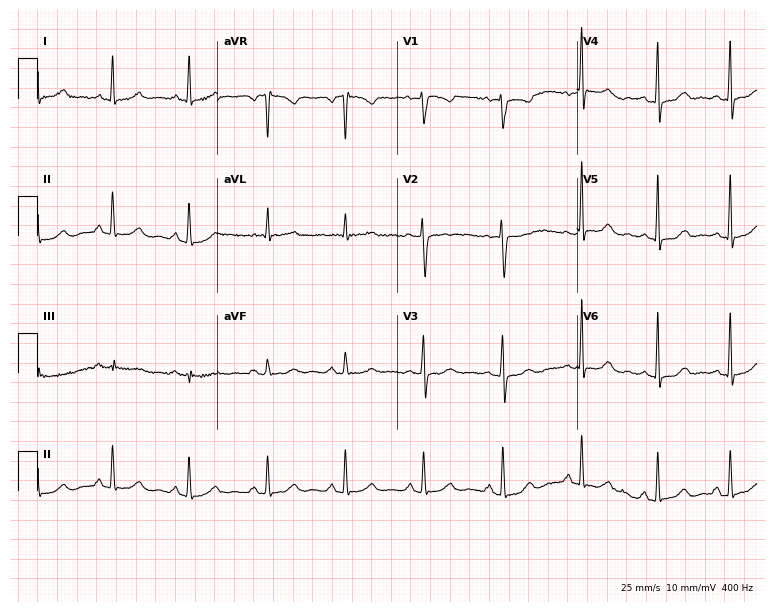
12-lead ECG from a female patient, 62 years old. Labelled as a normal ECG.